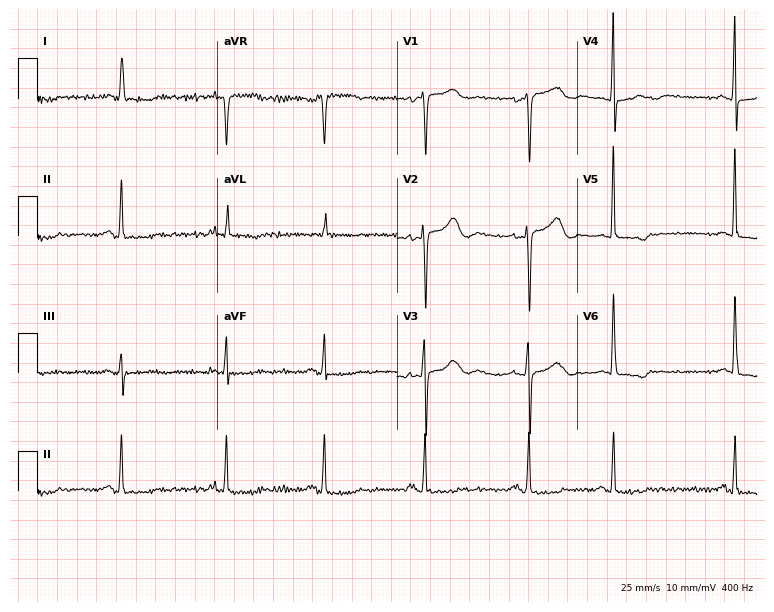
12-lead ECG from a female patient, 77 years old (7.3-second recording at 400 Hz). No first-degree AV block, right bundle branch block, left bundle branch block, sinus bradycardia, atrial fibrillation or sinus tachycardia recorded for this tracing.